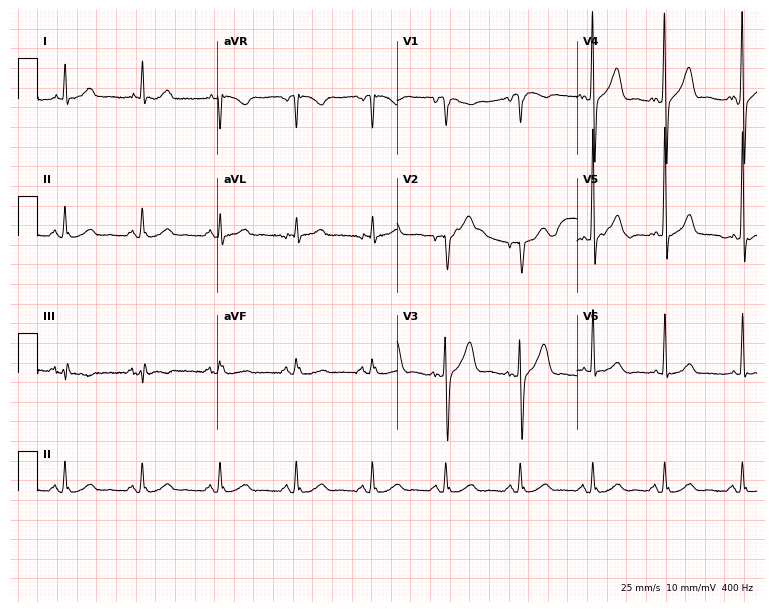
Electrocardiogram (7.3-second recording at 400 Hz), a man, 60 years old. Of the six screened findings (first-degree AV block, right bundle branch block, left bundle branch block, sinus bradycardia, atrial fibrillation, sinus tachycardia), none is recorded.